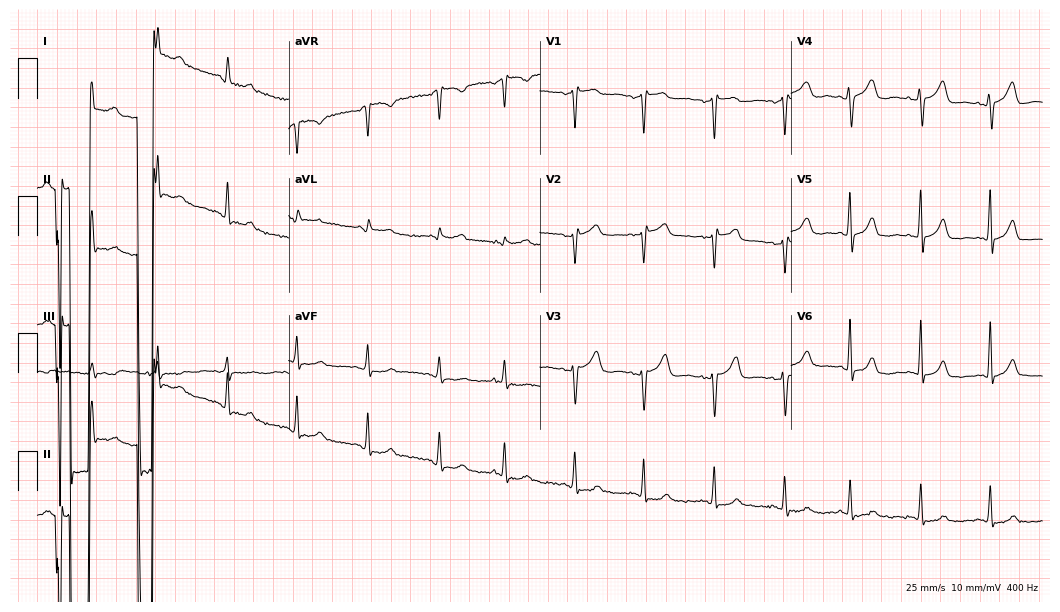
12-lead ECG from a female patient, 41 years old. No first-degree AV block, right bundle branch block, left bundle branch block, sinus bradycardia, atrial fibrillation or sinus tachycardia recorded for this tracing.